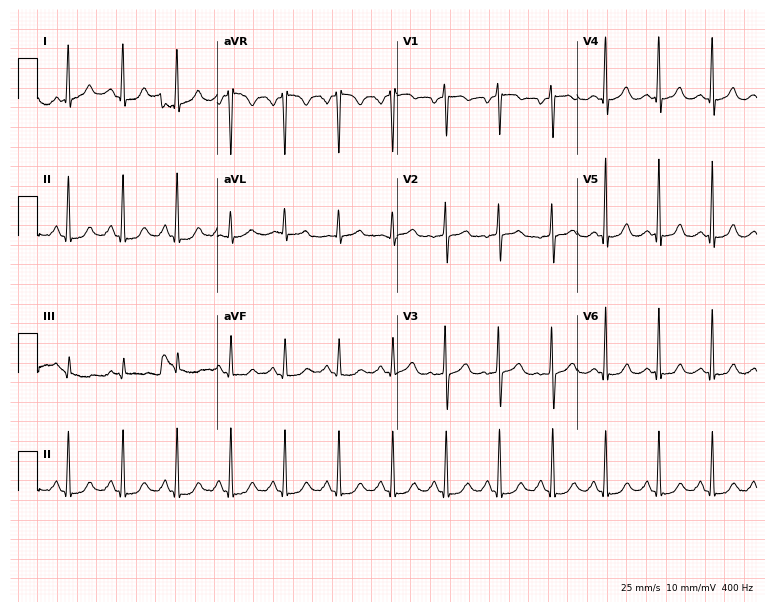
Electrocardiogram, a 65-year-old female. Interpretation includes sinus tachycardia (a sinus rate of 100 beats per minute or more).